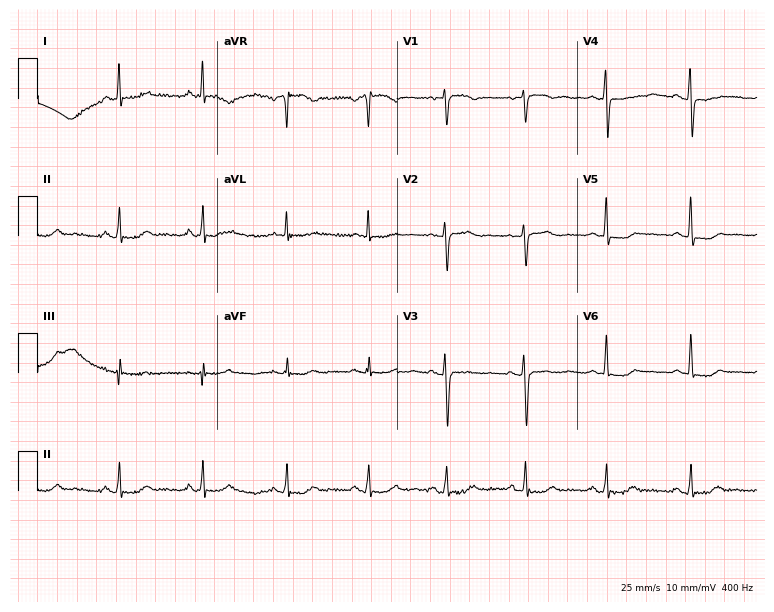
Electrocardiogram (7.3-second recording at 400 Hz), a female, 57 years old. Of the six screened findings (first-degree AV block, right bundle branch block (RBBB), left bundle branch block (LBBB), sinus bradycardia, atrial fibrillation (AF), sinus tachycardia), none is recorded. Only these six findings were labelled.